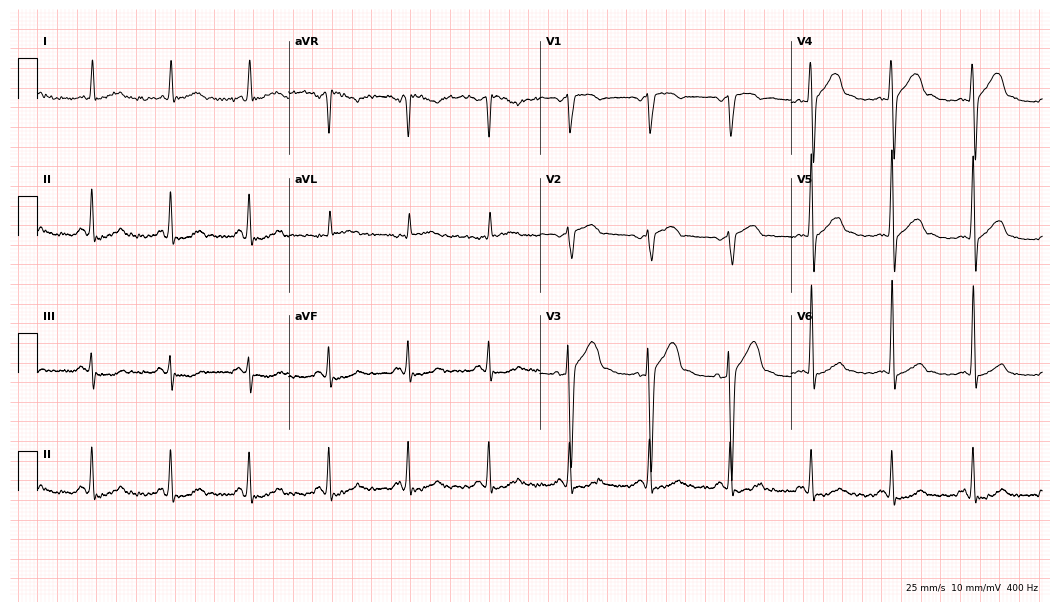
Electrocardiogram, a 63-year-old male patient. Of the six screened findings (first-degree AV block, right bundle branch block, left bundle branch block, sinus bradycardia, atrial fibrillation, sinus tachycardia), none is recorded.